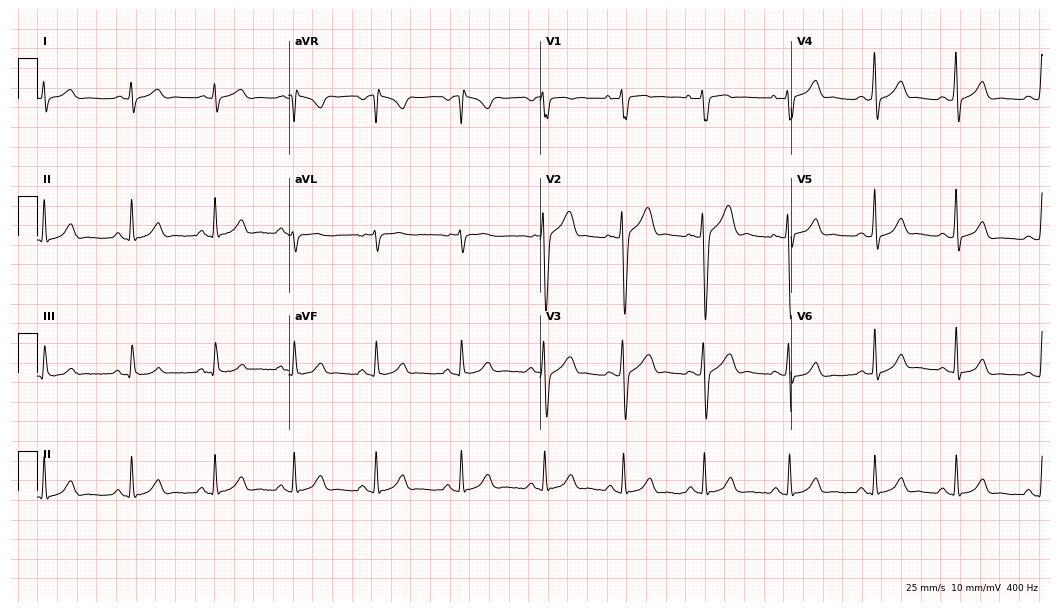
Electrocardiogram, a male patient, 20 years old. Overall reading on record: normal ECG.